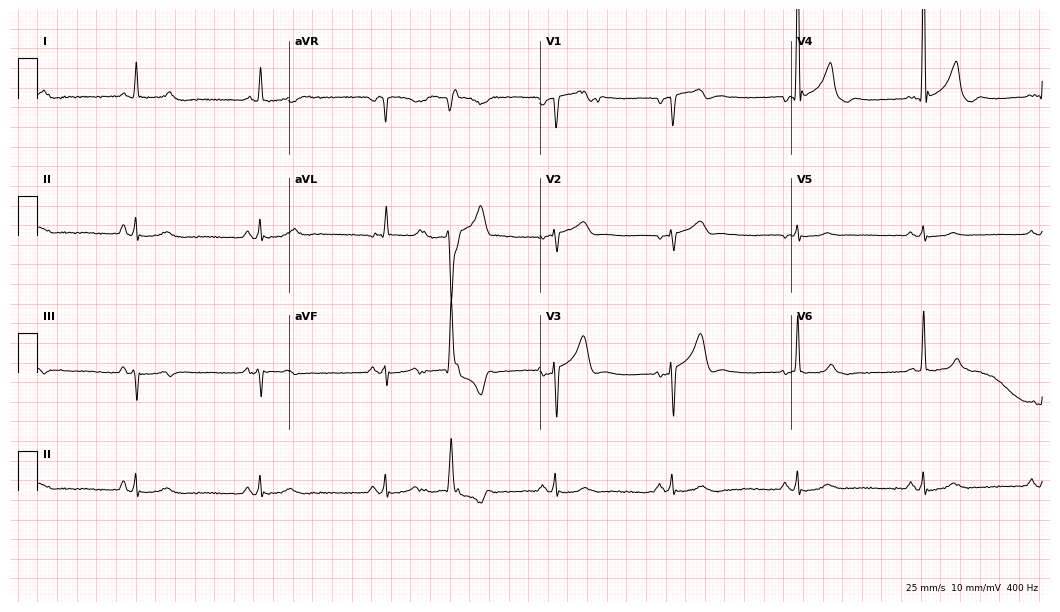
12-lead ECG from a male, 72 years old. No first-degree AV block, right bundle branch block, left bundle branch block, sinus bradycardia, atrial fibrillation or sinus tachycardia recorded for this tracing.